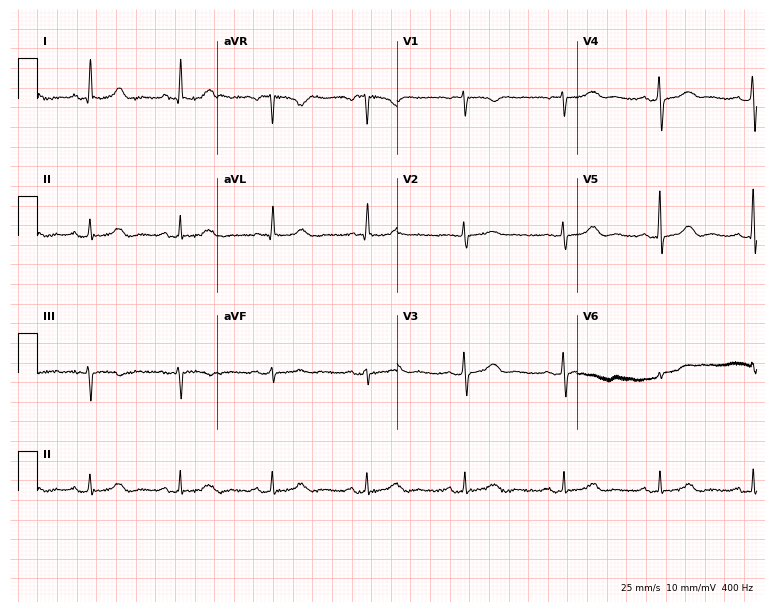
12-lead ECG (7.3-second recording at 400 Hz) from a woman, 53 years old. Screened for six findings — first-degree AV block, right bundle branch block, left bundle branch block, sinus bradycardia, atrial fibrillation, sinus tachycardia — none is recorded. Only these six findings were labelled.